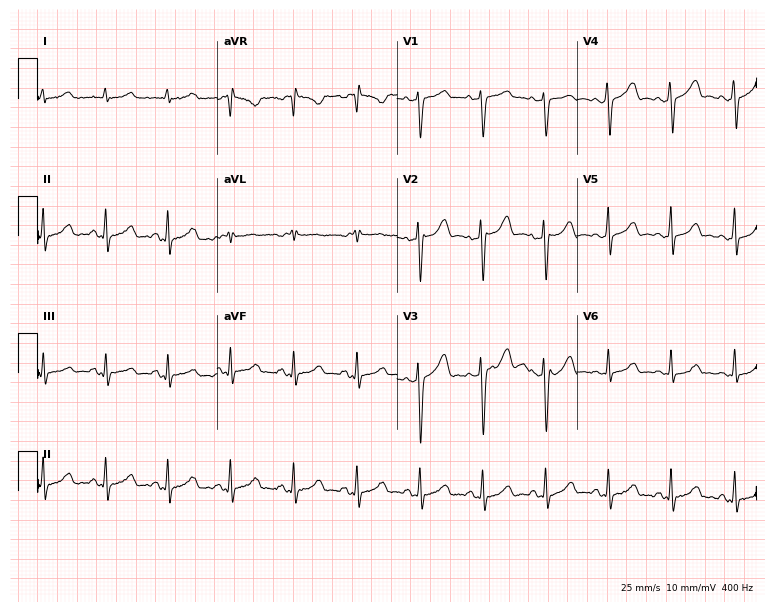
12-lead ECG from a 27-year-old female patient (7.3-second recording at 400 Hz). No first-degree AV block, right bundle branch block (RBBB), left bundle branch block (LBBB), sinus bradycardia, atrial fibrillation (AF) or sinus tachycardia recorded for this tracing.